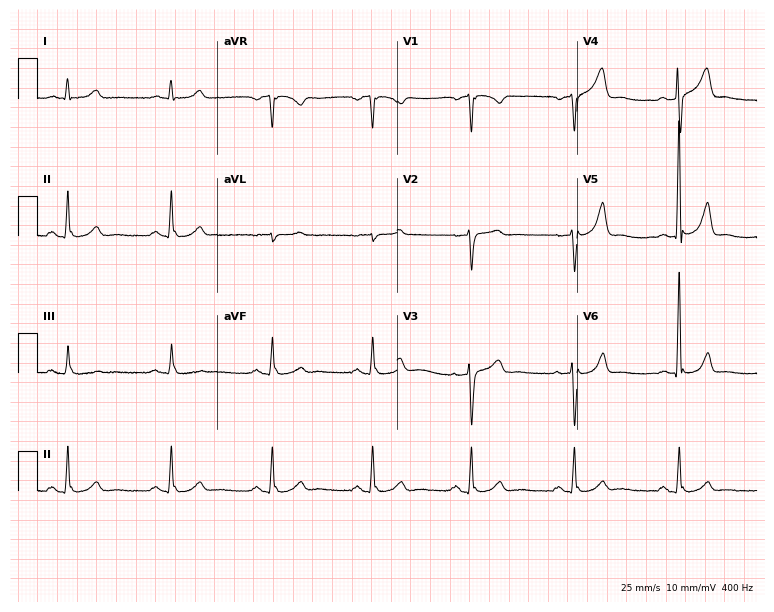
12-lead ECG (7.3-second recording at 400 Hz) from a 49-year-old male patient. Labelled as a normal ECG.